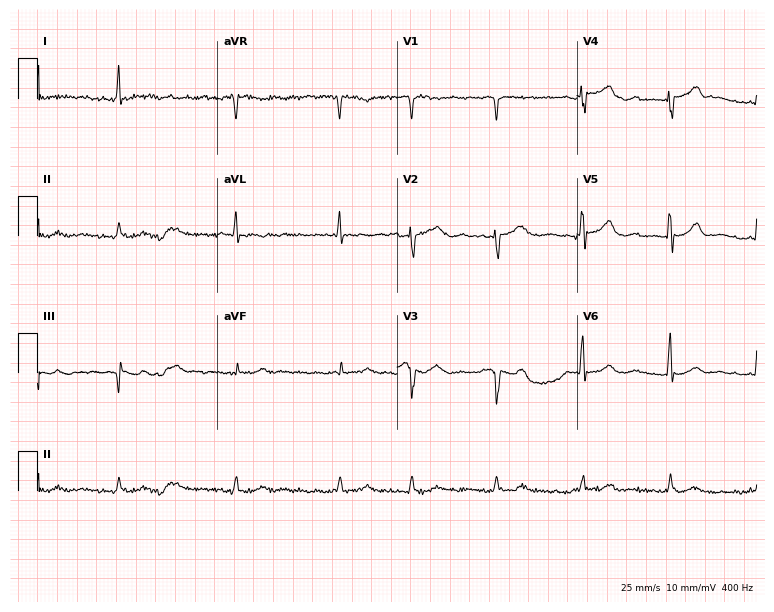
12-lead ECG from a male patient, 65 years old. Findings include atrial fibrillation.